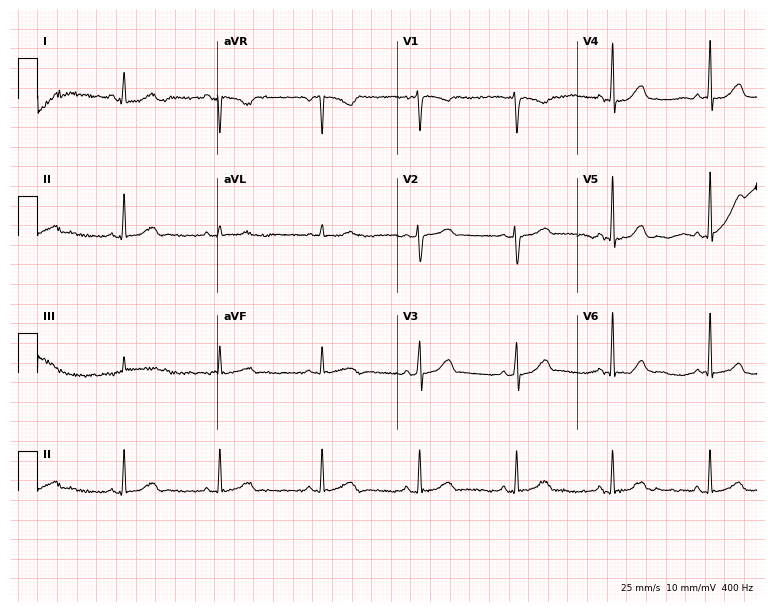
12-lead ECG from a female, 28 years old. No first-degree AV block, right bundle branch block (RBBB), left bundle branch block (LBBB), sinus bradycardia, atrial fibrillation (AF) or sinus tachycardia recorded for this tracing.